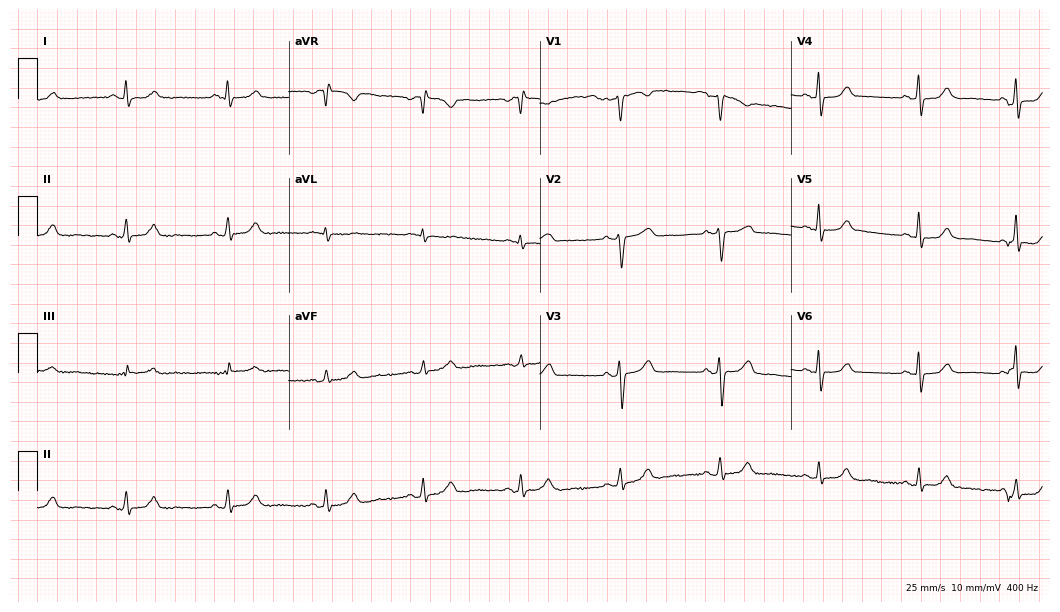
ECG (10.2-second recording at 400 Hz) — a 58-year-old female patient. Screened for six findings — first-degree AV block, right bundle branch block (RBBB), left bundle branch block (LBBB), sinus bradycardia, atrial fibrillation (AF), sinus tachycardia — none is recorded. Only these six findings were labelled.